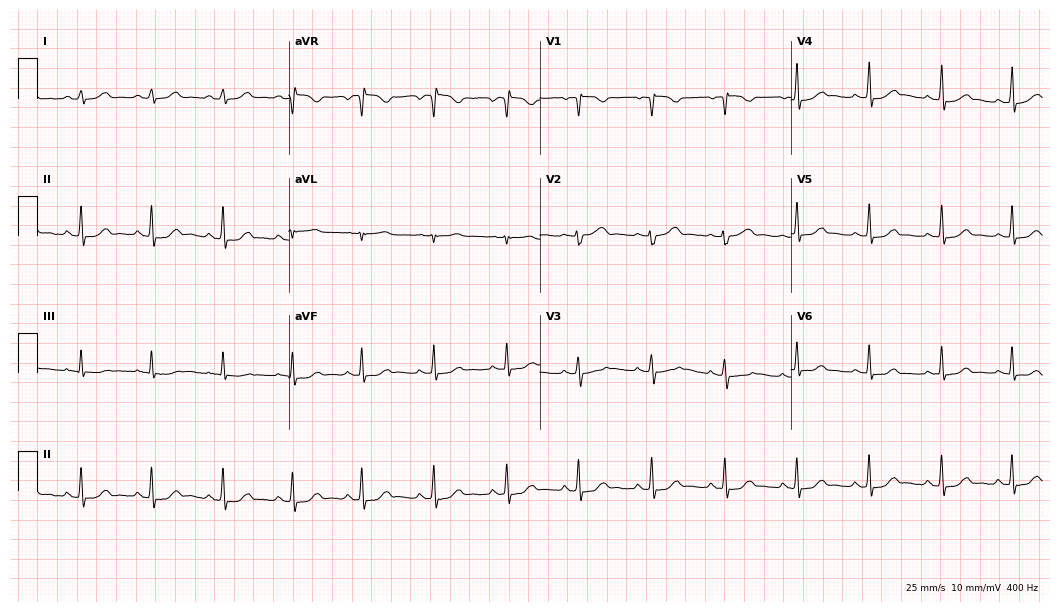
ECG (10.2-second recording at 400 Hz) — a 30-year-old female patient. Labelled as a normal ECG.